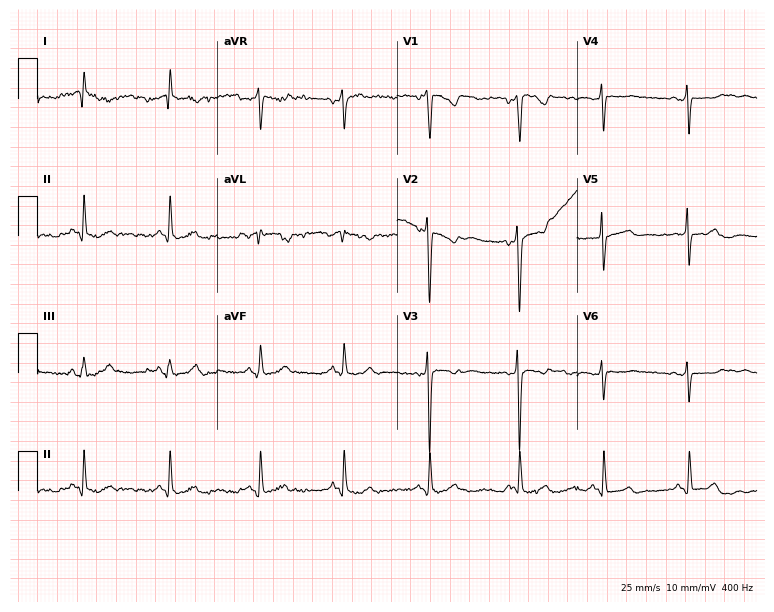
Standard 12-lead ECG recorded from a male, 84 years old (7.3-second recording at 400 Hz). None of these six findings is recorded: first-degree AV block, right bundle branch block, left bundle branch block, sinus bradycardia, atrial fibrillation, sinus tachycardia.